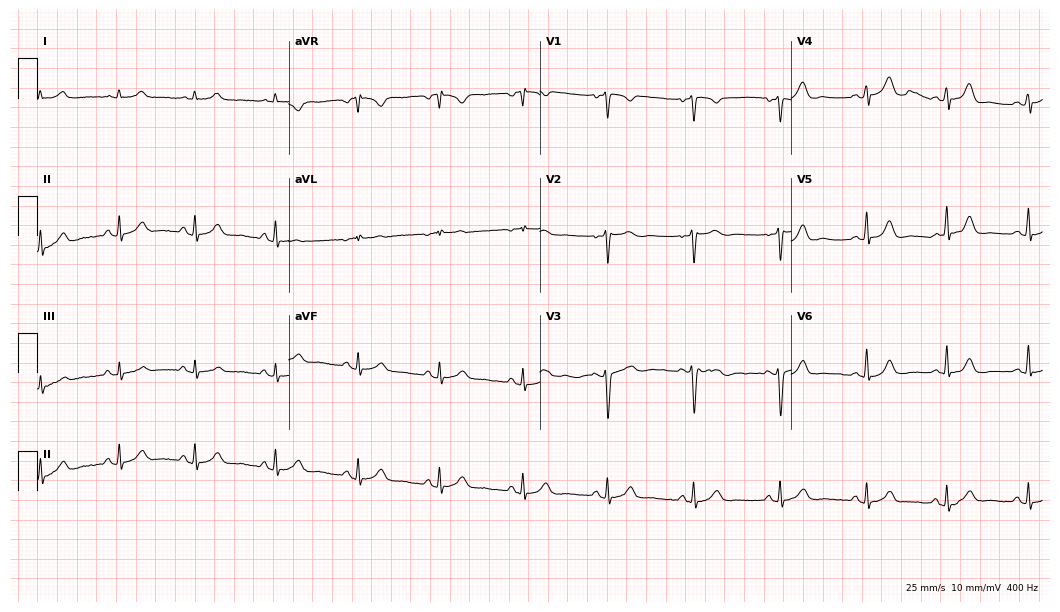
Standard 12-lead ECG recorded from a 38-year-old female (10.2-second recording at 400 Hz). Read as a normal ECG.